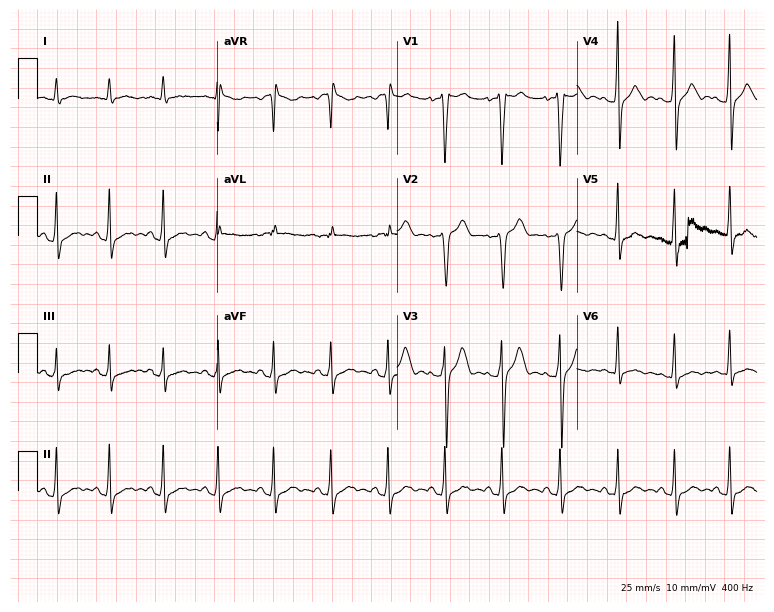
12-lead ECG (7.3-second recording at 400 Hz) from a male, 43 years old. Findings include sinus tachycardia (a sinus rate of 100 beats per minute or more).